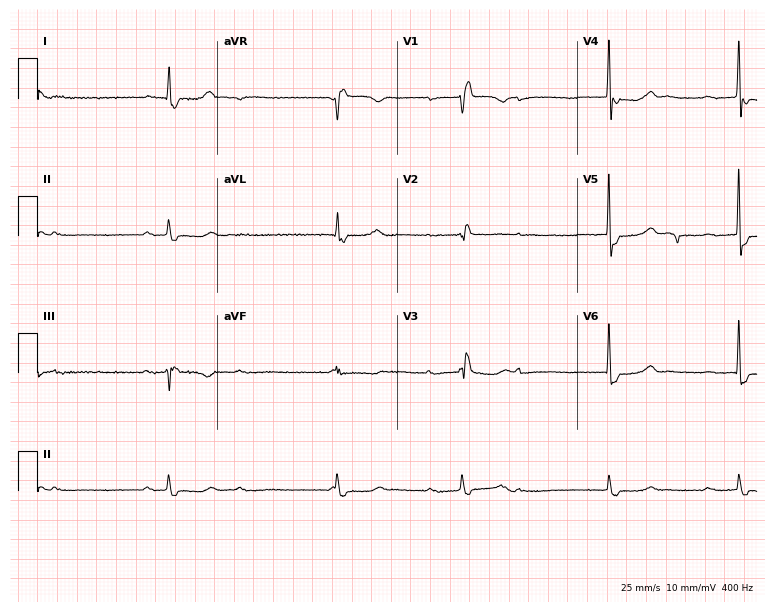
12-lead ECG from a 79-year-old female patient. Findings include first-degree AV block, atrial fibrillation.